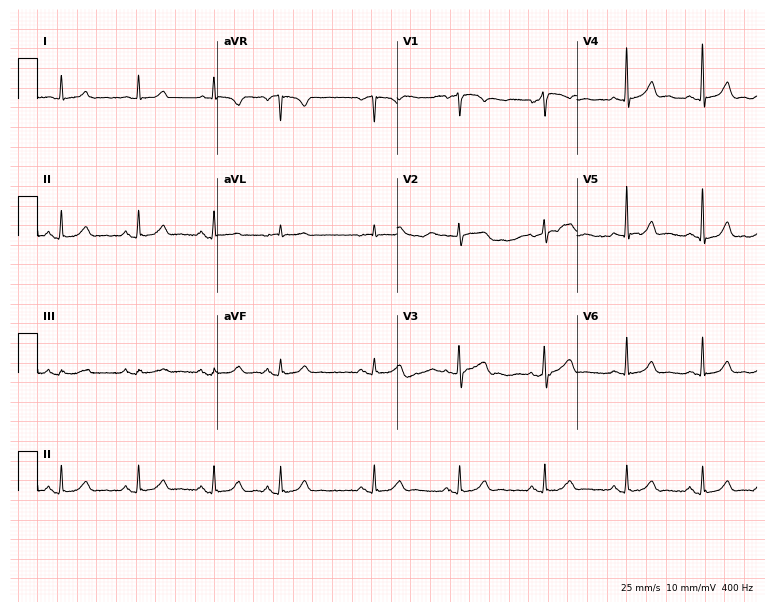
Electrocardiogram (7.3-second recording at 400 Hz), a male patient, 61 years old. Of the six screened findings (first-degree AV block, right bundle branch block, left bundle branch block, sinus bradycardia, atrial fibrillation, sinus tachycardia), none is recorded.